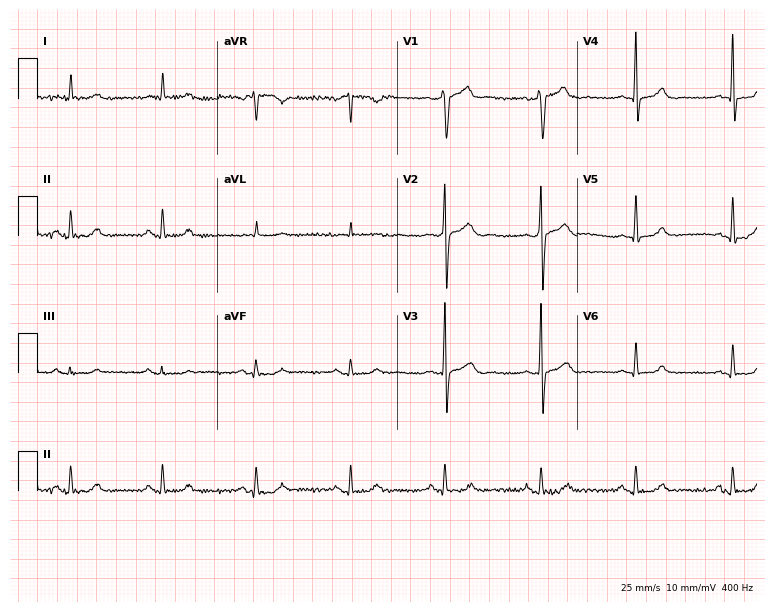
Standard 12-lead ECG recorded from a 66-year-old male patient. None of these six findings is recorded: first-degree AV block, right bundle branch block, left bundle branch block, sinus bradycardia, atrial fibrillation, sinus tachycardia. Findings outside these six are not listed.